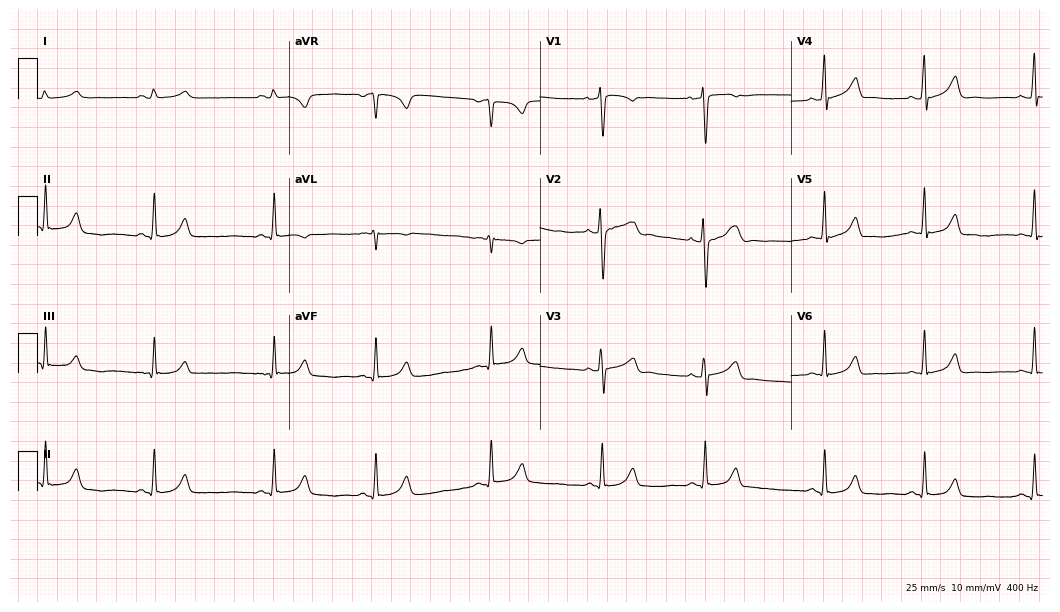
12-lead ECG (10.2-second recording at 400 Hz) from a female, 28 years old. Screened for six findings — first-degree AV block, right bundle branch block, left bundle branch block, sinus bradycardia, atrial fibrillation, sinus tachycardia — none is recorded.